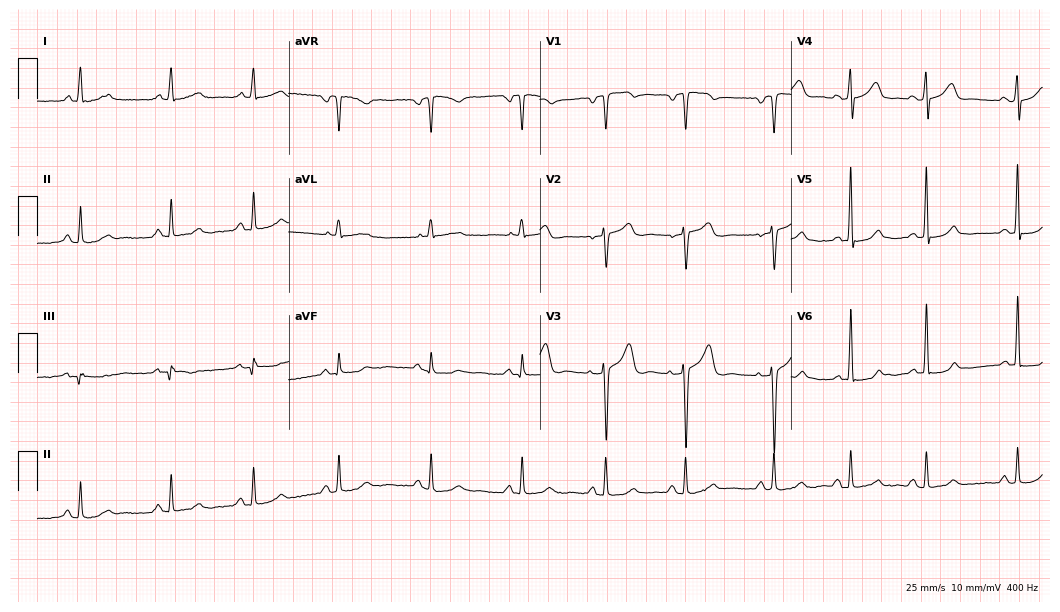
Standard 12-lead ECG recorded from a woman, 53 years old (10.2-second recording at 400 Hz). Read as a normal ECG.